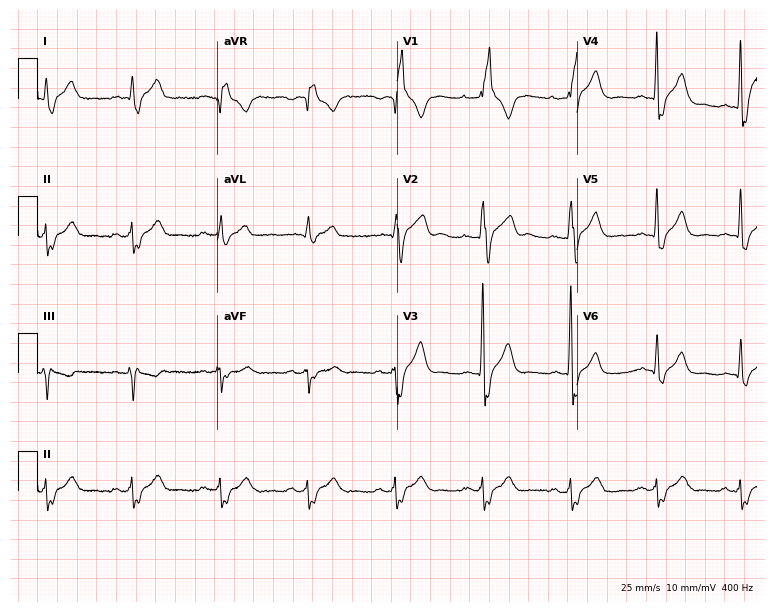
ECG — a 35-year-old male patient. Findings include right bundle branch block.